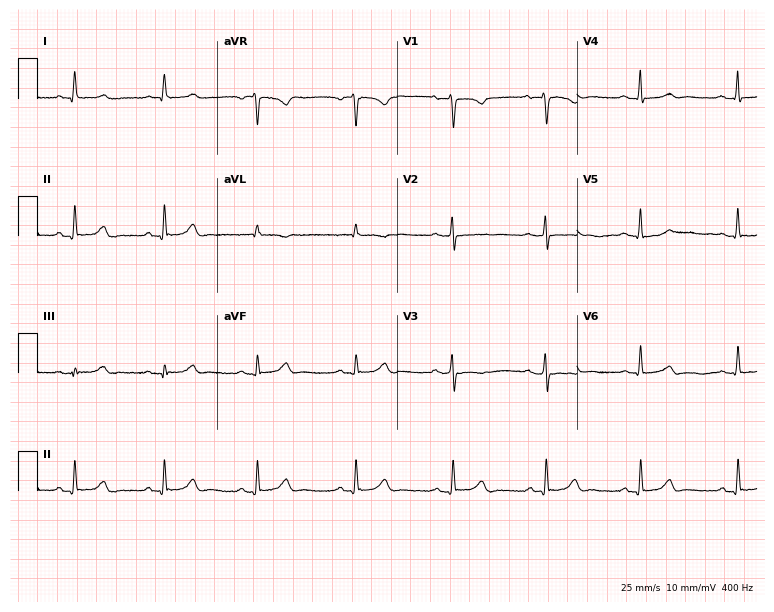
Standard 12-lead ECG recorded from a female patient, 47 years old. None of these six findings is recorded: first-degree AV block, right bundle branch block, left bundle branch block, sinus bradycardia, atrial fibrillation, sinus tachycardia.